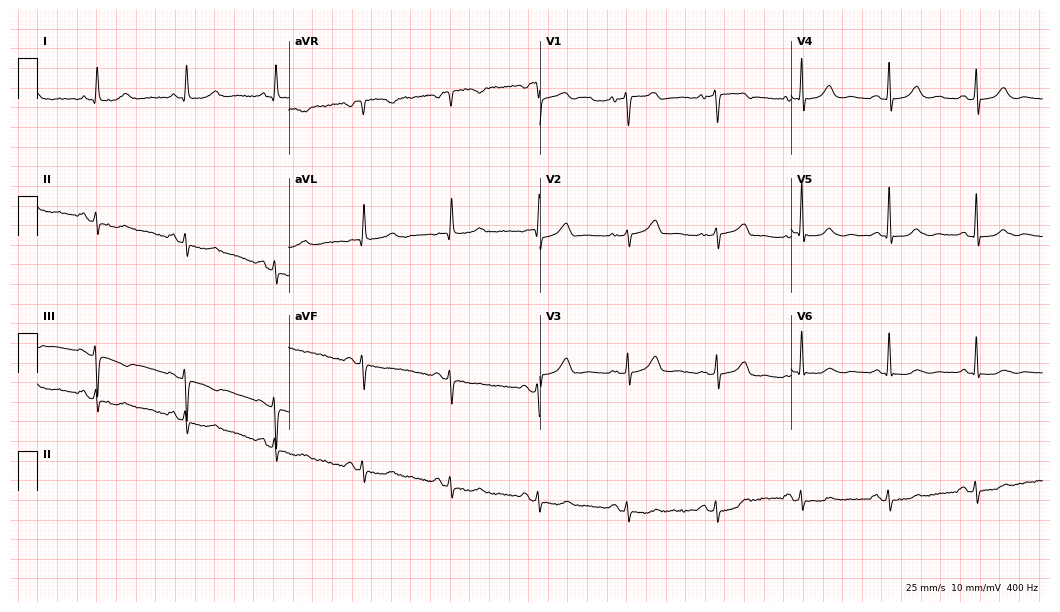
12-lead ECG from a 73-year-old female. Screened for six findings — first-degree AV block, right bundle branch block, left bundle branch block, sinus bradycardia, atrial fibrillation, sinus tachycardia — none is recorded.